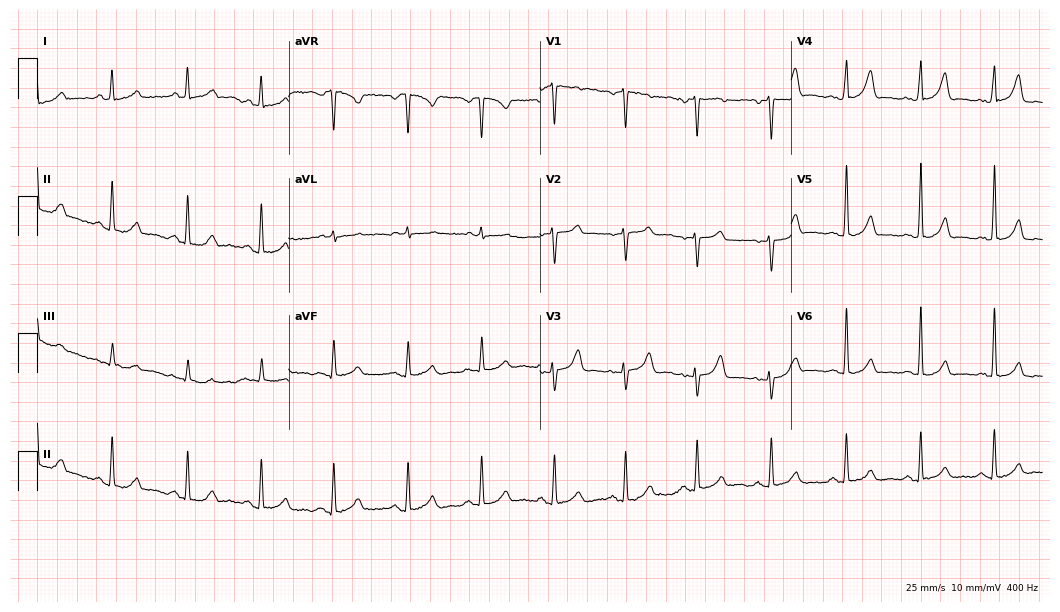
Resting 12-lead electrocardiogram. Patient: a female, 42 years old. Read as a normal ECG.